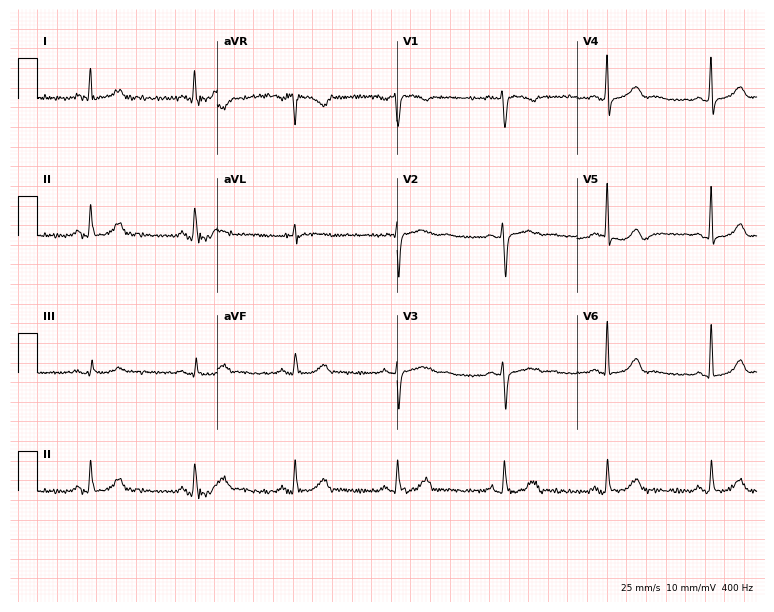
Resting 12-lead electrocardiogram (7.3-second recording at 400 Hz). Patient: a 49-year-old female. Read as a normal ECG.